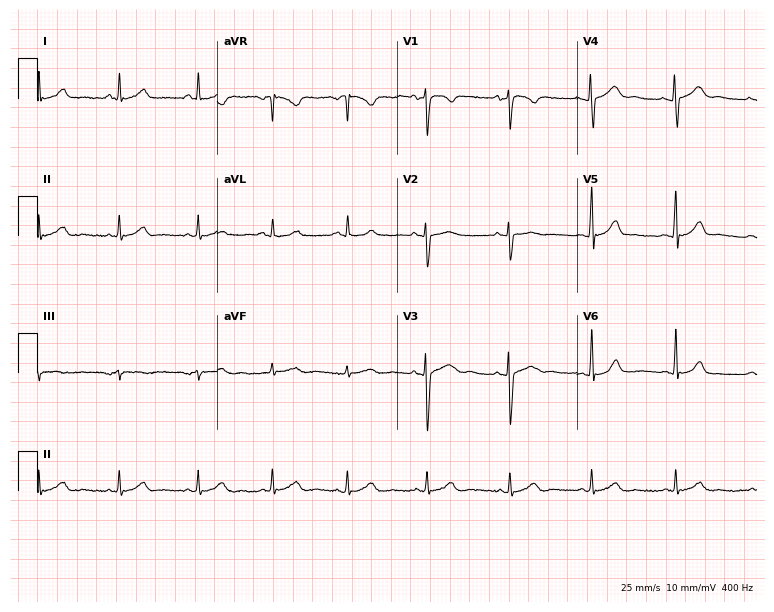
12-lead ECG (7.3-second recording at 400 Hz) from a 23-year-old female. Labelled as a normal ECG.